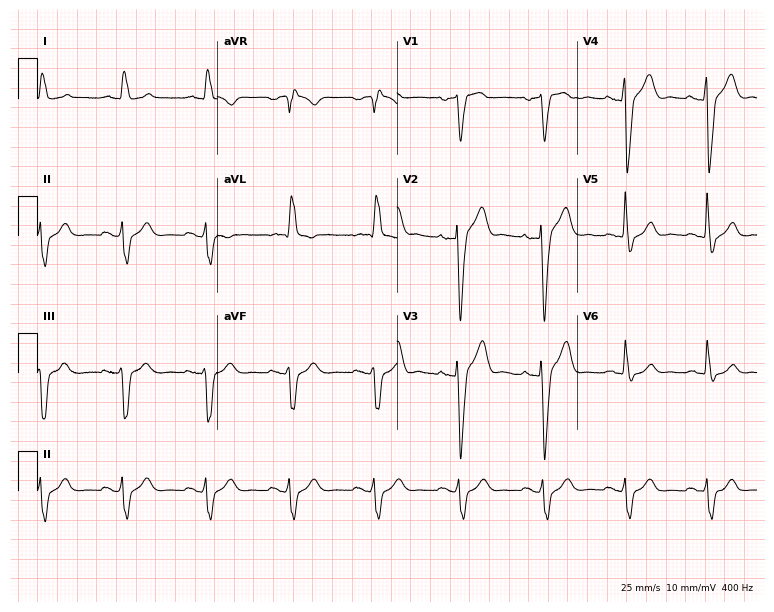
ECG — a male patient, 69 years old. Findings include left bundle branch block (LBBB).